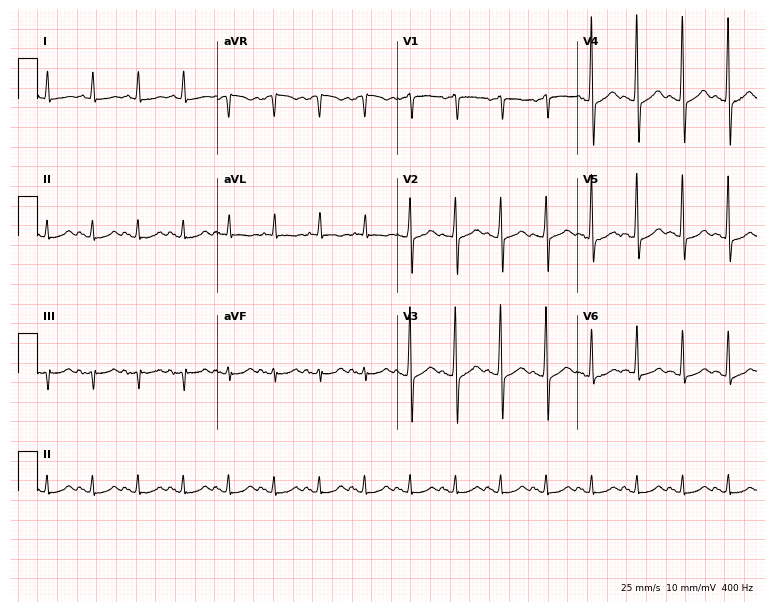
Electrocardiogram (7.3-second recording at 400 Hz), a male, 77 years old. Interpretation includes sinus tachycardia (a sinus rate of 100 beats per minute or more).